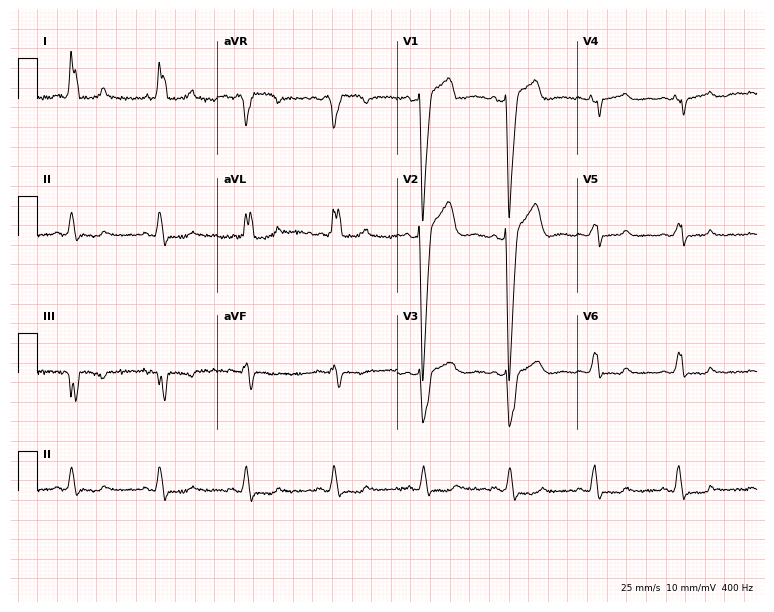
Electrocardiogram (7.3-second recording at 400 Hz), a female, 41 years old. Interpretation includes left bundle branch block.